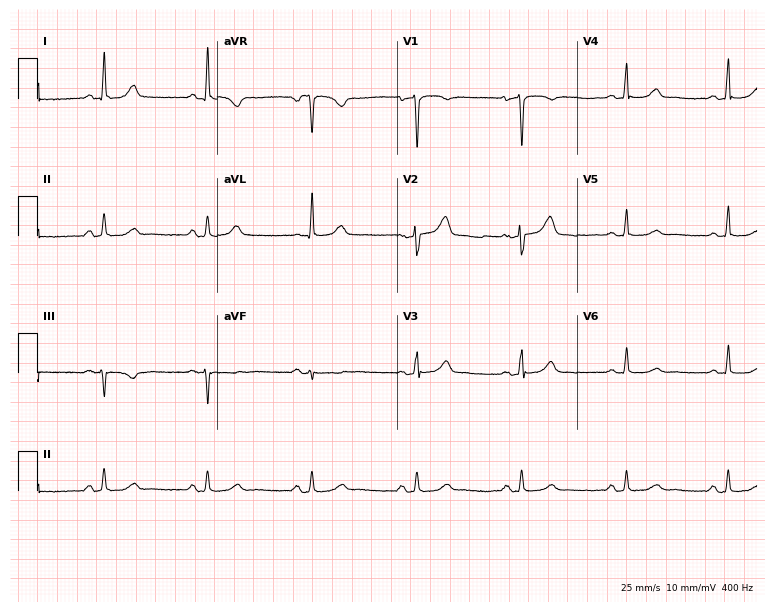
Electrocardiogram (7.3-second recording at 400 Hz), a 58-year-old woman. Of the six screened findings (first-degree AV block, right bundle branch block, left bundle branch block, sinus bradycardia, atrial fibrillation, sinus tachycardia), none is recorded. Findings outside these six are not listed.